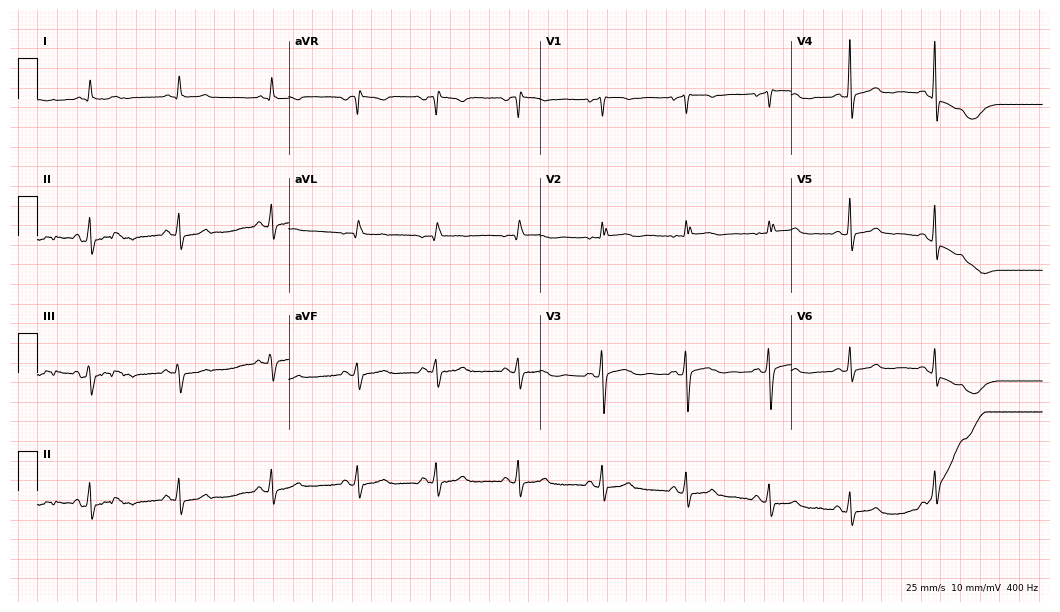
Electrocardiogram, a 44-year-old female. Of the six screened findings (first-degree AV block, right bundle branch block, left bundle branch block, sinus bradycardia, atrial fibrillation, sinus tachycardia), none is recorded. Findings outside these six are not listed.